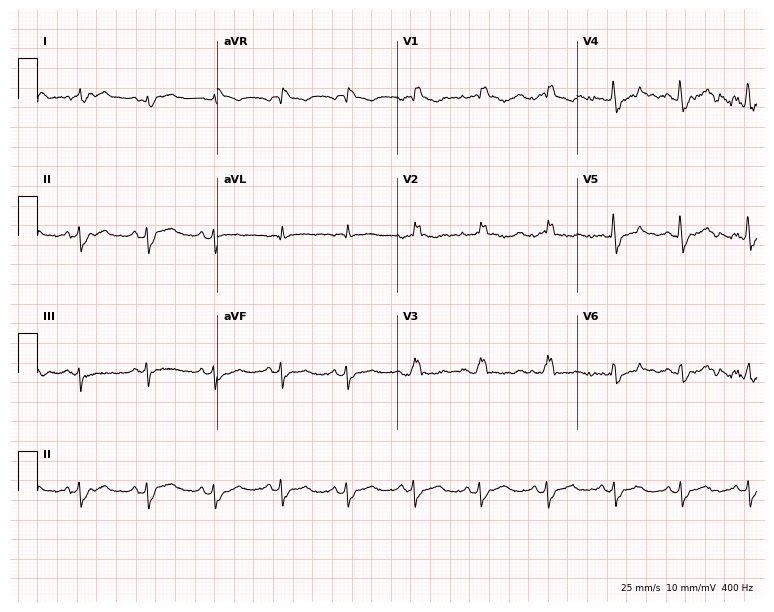
12-lead ECG from a woman, 46 years old. No first-degree AV block, right bundle branch block, left bundle branch block, sinus bradycardia, atrial fibrillation or sinus tachycardia recorded for this tracing. Only these six findings were labelled.